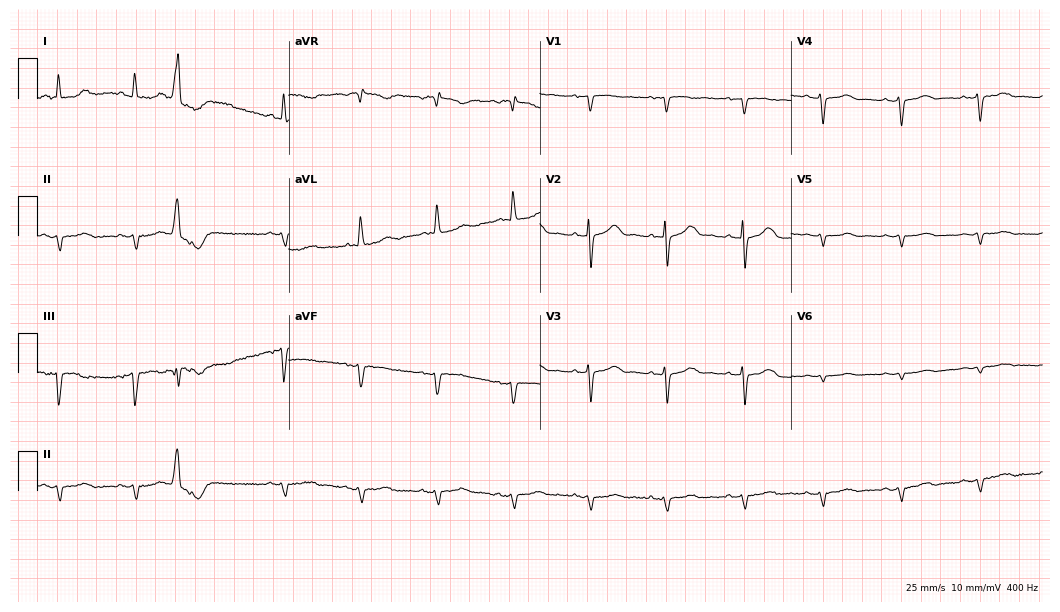
12-lead ECG (10.2-second recording at 400 Hz) from a female, 81 years old. Screened for six findings — first-degree AV block, right bundle branch block (RBBB), left bundle branch block (LBBB), sinus bradycardia, atrial fibrillation (AF), sinus tachycardia — none is recorded.